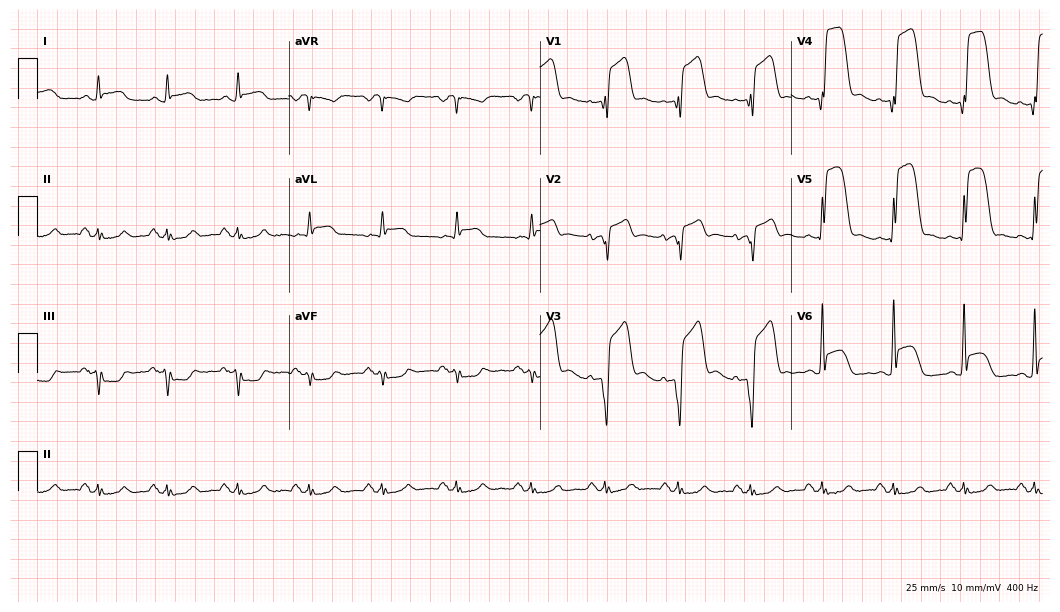
Resting 12-lead electrocardiogram. Patient: a male, 59 years old. None of these six findings is recorded: first-degree AV block, right bundle branch block, left bundle branch block, sinus bradycardia, atrial fibrillation, sinus tachycardia.